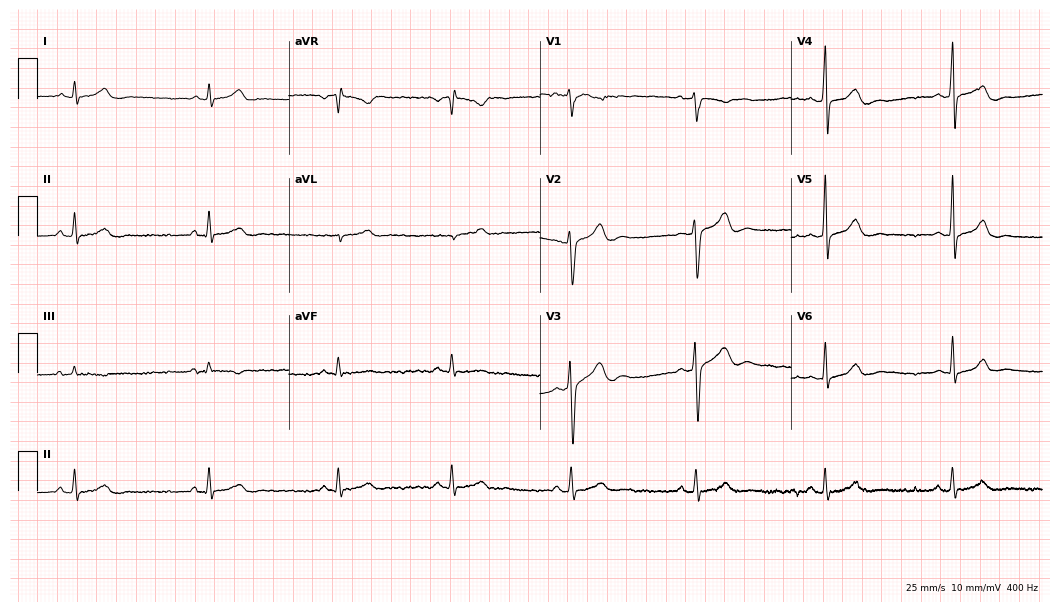
Resting 12-lead electrocardiogram. Patient: a 39-year-old male. The tracing shows sinus bradycardia (a sinus rate of 50 beats per minute or less).